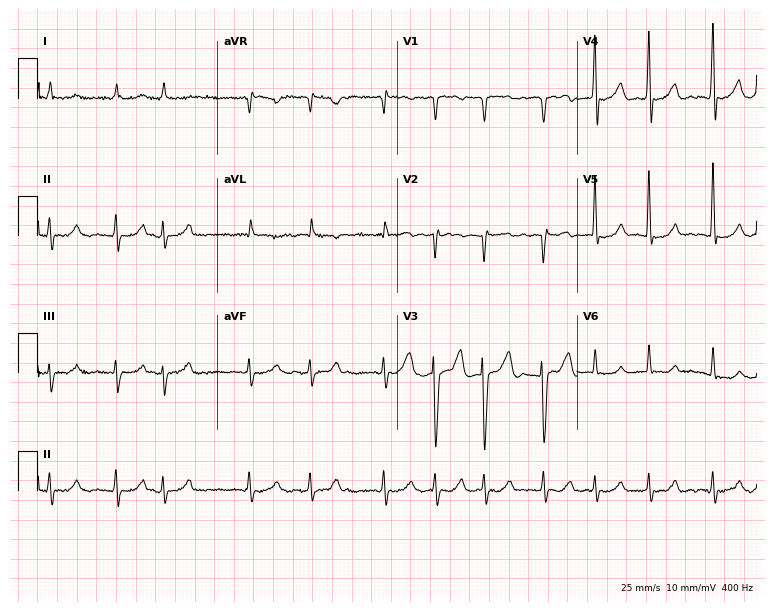
12-lead ECG from a man, 80 years old. Findings include atrial fibrillation.